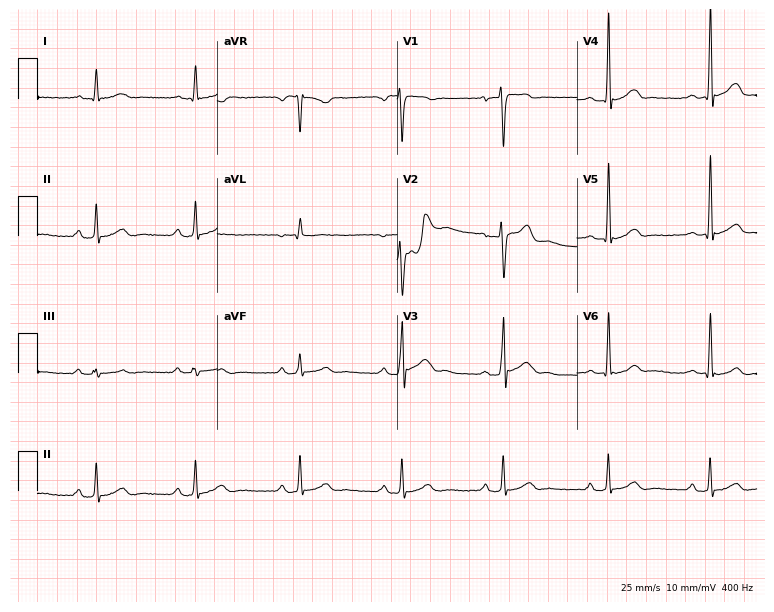
Electrocardiogram, a male, 22 years old. Of the six screened findings (first-degree AV block, right bundle branch block, left bundle branch block, sinus bradycardia, atrial fibrillation, sinus tachycardia), none is recorded.